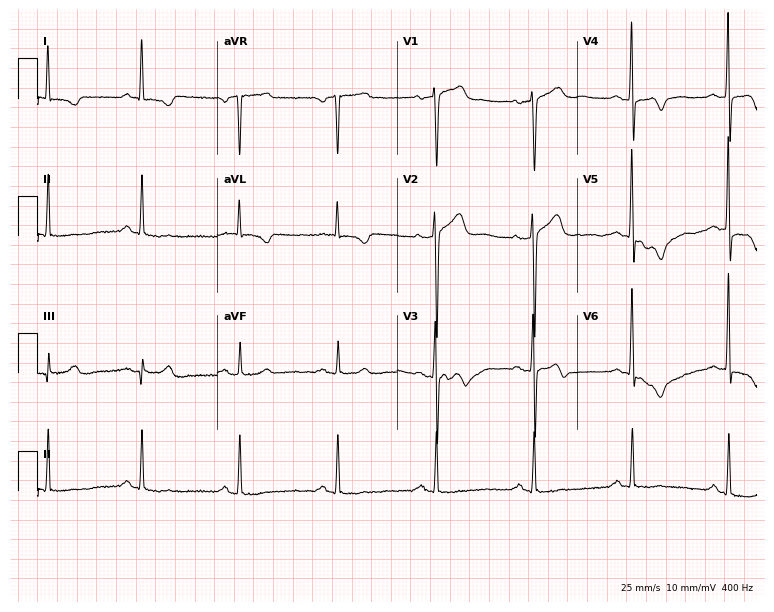
12-lead ECG from a man, 62 years old (7.3-second recording at 400 Hz). No first-degree AV block, right bundle branch block, left bundle branch block, sinus bradycardia, atrial fibrillation or sinus tachycardia recorded for this tracing.